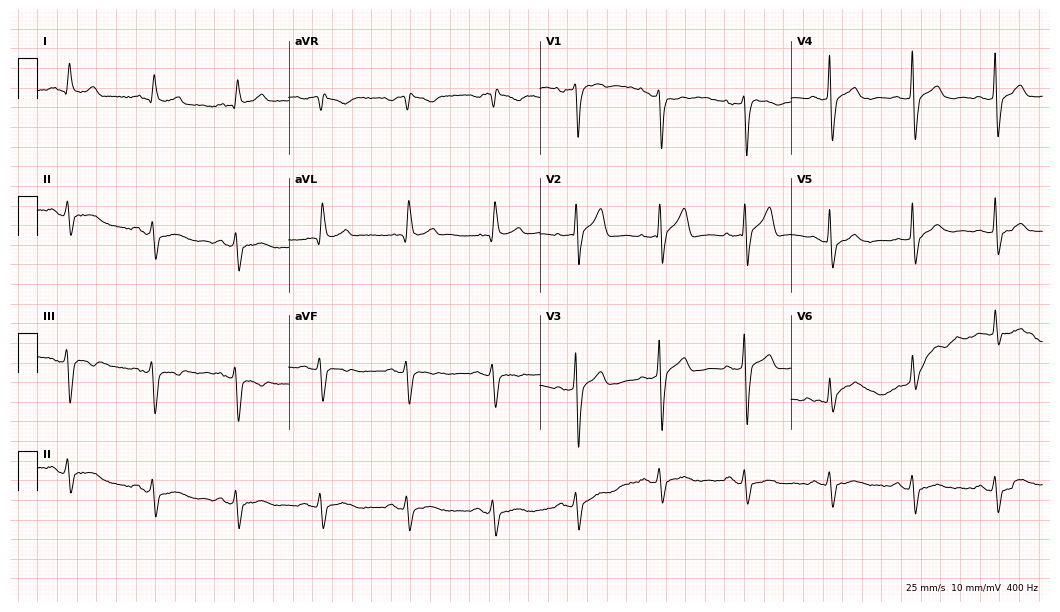
Resting 12-lead electrocardiogram (10.2-second recording at 400 Hz). Patient: a male, 79 years old. None of these six findings is recorded: first-degree AV block, right bundle branch block, left bundle branch block, sinus bradycardia, atrial fibrillation, sinus tachycardia. Other findings, if any, are not listed.